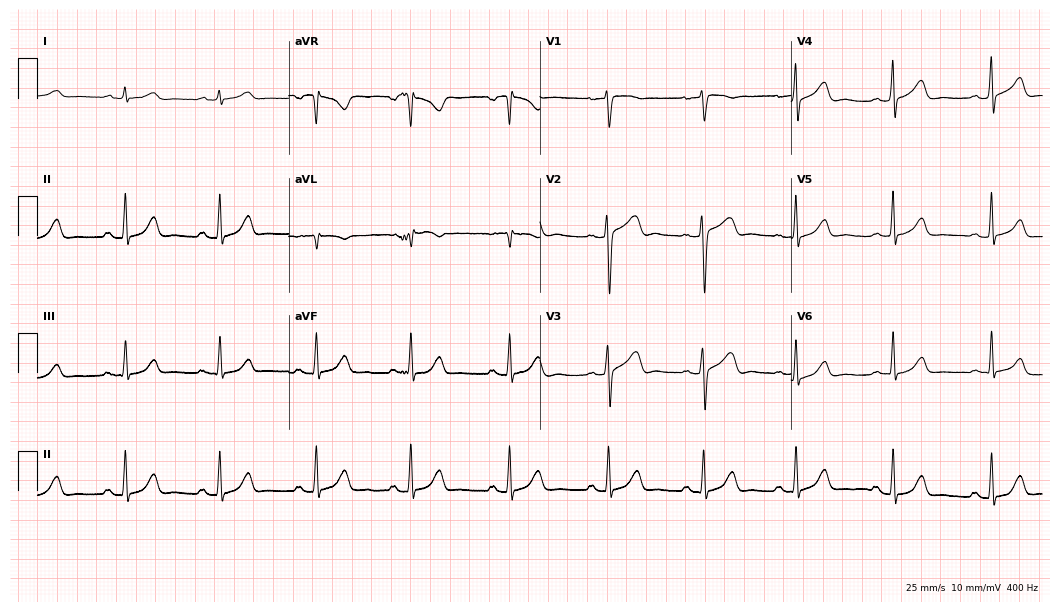
12-lead ECG (10.2-second recording at 400 Hz) from a man, 56 years old. Labelled as a normal ECG.